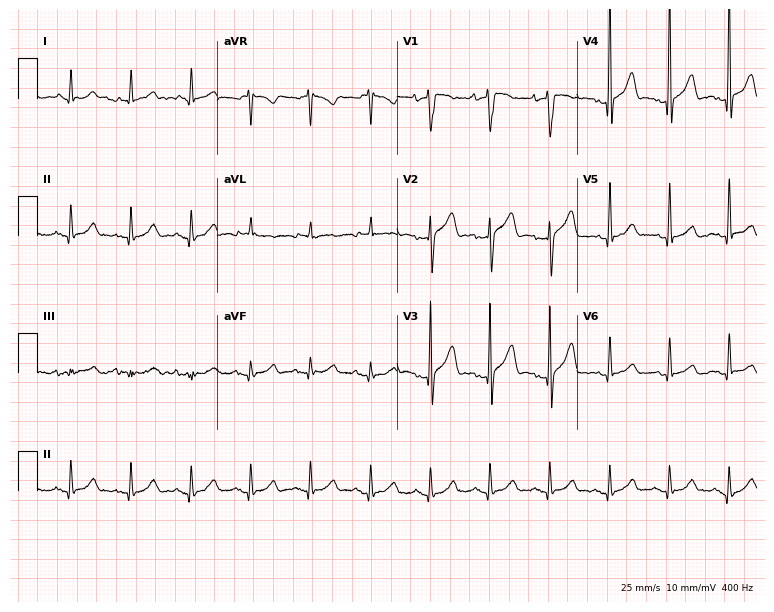
Electrocardiogram, a male, 72 years old. Of the six screened findings (first-degree AV block, right bundle branch block (RBBB), left bundle branch block (LBBB), sinus bradycardia, atrial fibrillation (AF), sinus tachycardia), none is recorded. Only these six findings were labelled.